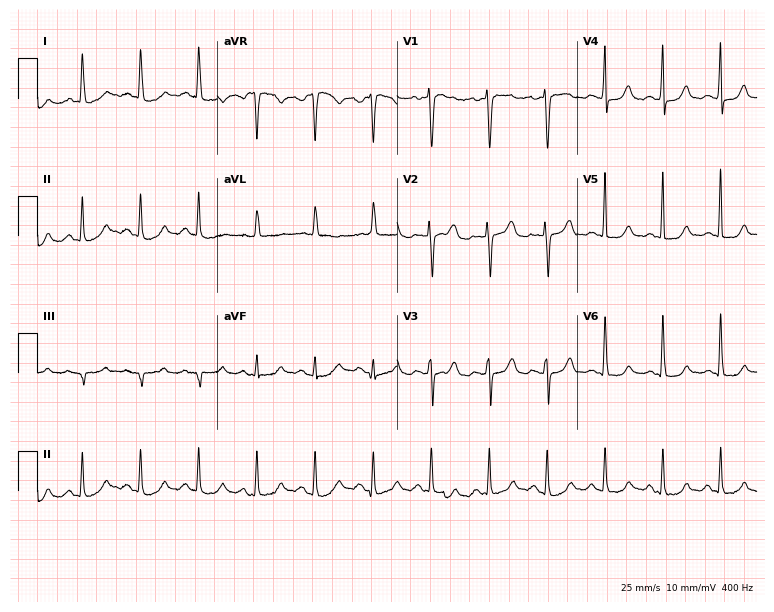
Resting 12-lead electrocardiogram (7.3-second recording at 400 Hz). Patient: a woman, 73 years old. Read as a normal ECG.